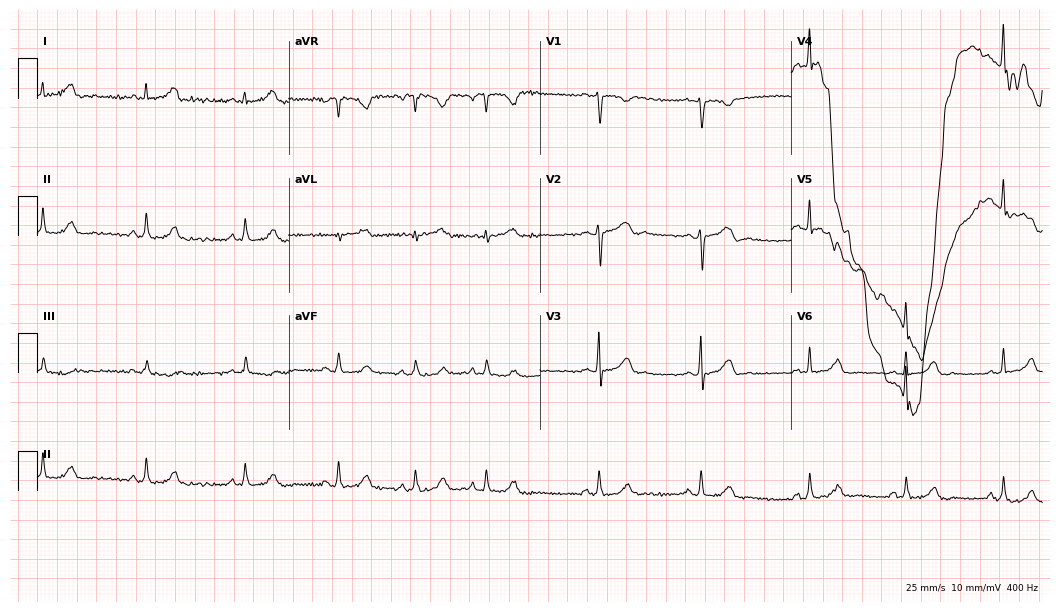
12-lead ECG (10.2-second recording at 400 Hz) from a female, 26 years old. Screened for six findings — first-degree AV block, right bundle branch block, left bundle branch block, sinus bradycardia, atrial fibrillation, sinus tachycardia — none is recorded.